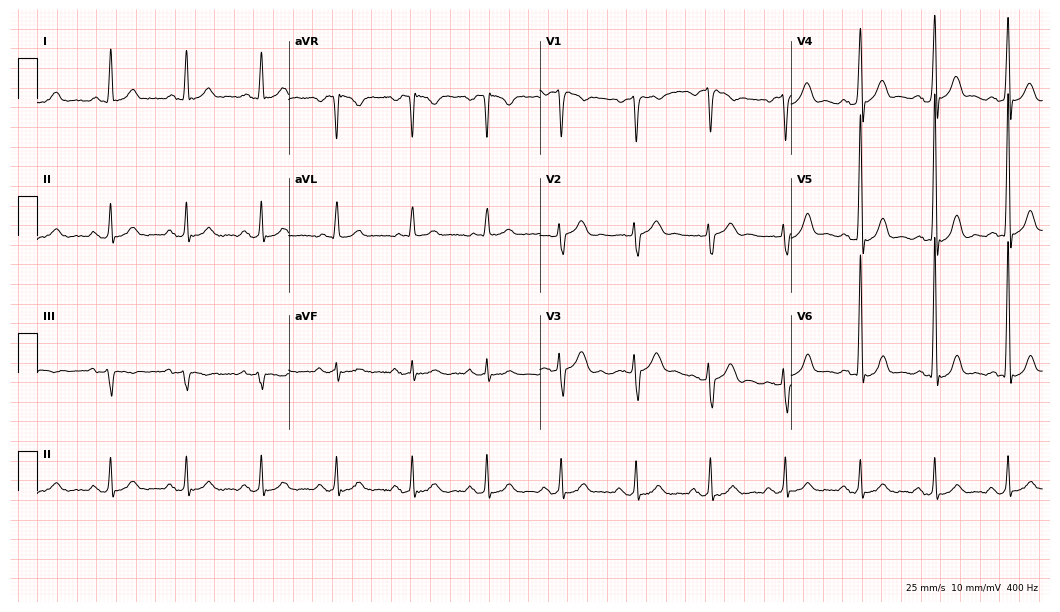
ECG (10.2-second recording at 400 Hz) — a 74-year-old male patient. Labelled as a normal ECG.